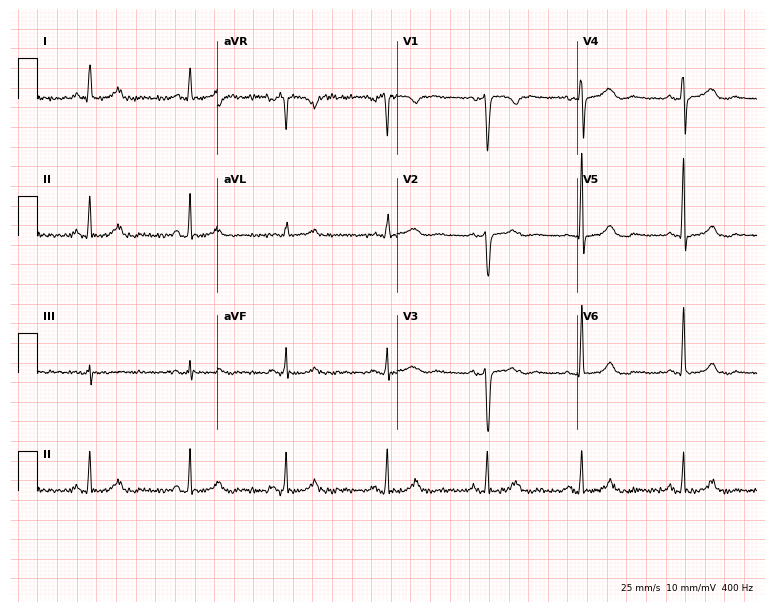
12-lead ECG from a female patient, 46 years old (7.3-second recording at 400 Hz). No first-degree AV block, right bundle branch block (RBBB), left bundle branch block (LBBB), sinus bradycardia, atrial fibrillation (AF) or sinus tachycardia recorded for this tracing.